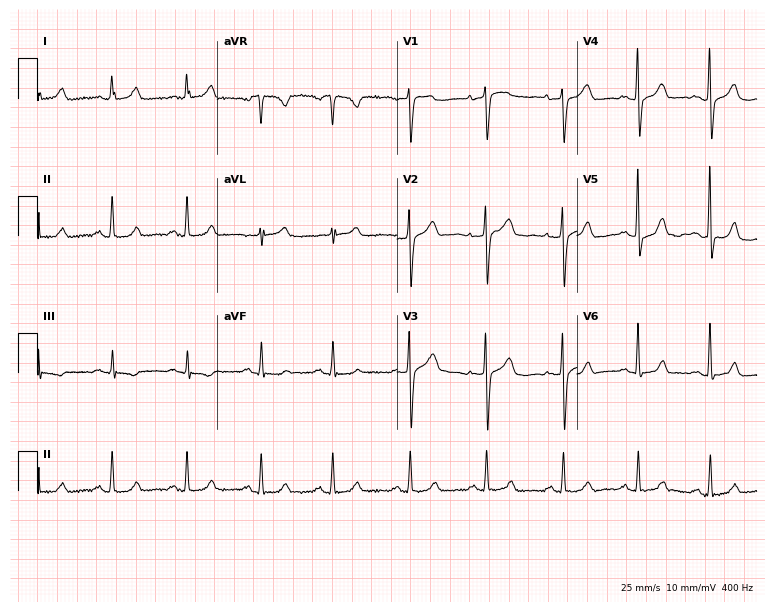
Standard 12-lead ECG recorded from a 40-year-old woman. Read as a normal ECG.